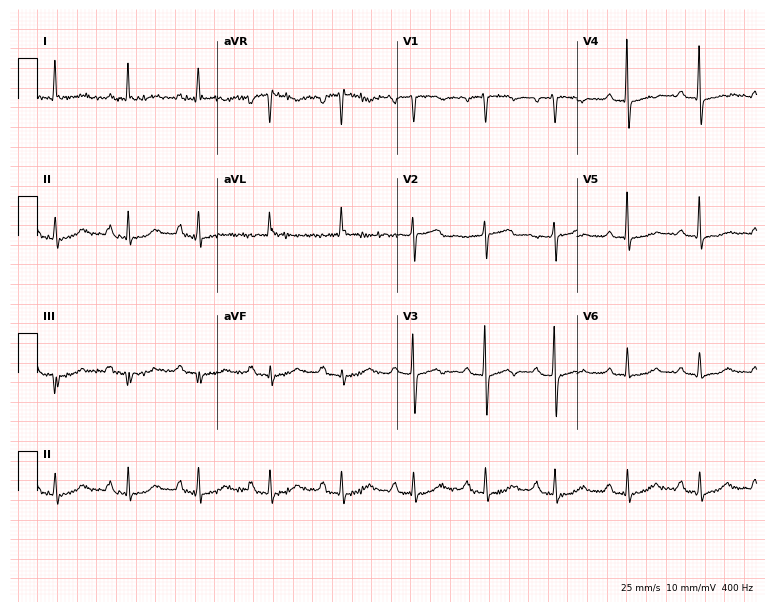
Electrocardiogram, a 72-year-old woman. Of the six screened findings (first-degree AV block, right bundle branch block (RBBB), left bundle branch block (LBBB), sinus bradycardia, atrial fibrillation (AF), sinus tachycardia), none is recorded. Only these six findings were labelled.